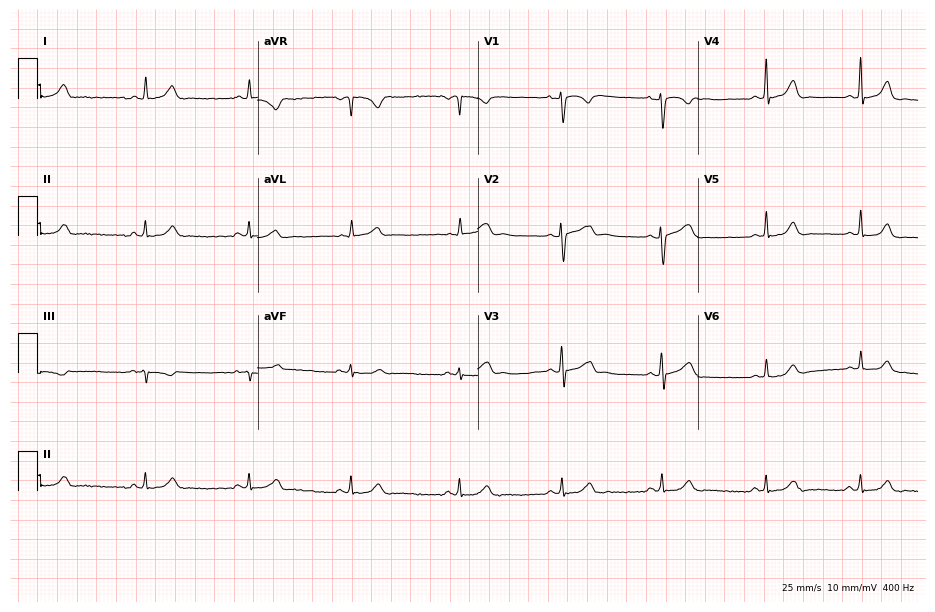
Standard 12-lead ECG recorded from a female, 28 years old. None of these six findings is recorded: first-degree AV block, right bundle branch block (RBBB), left bundle branch block (LBBB), sinus bradycardia, atrial fibrillation (AF), sinus tachycardia. Other findings, if any, are not listed.